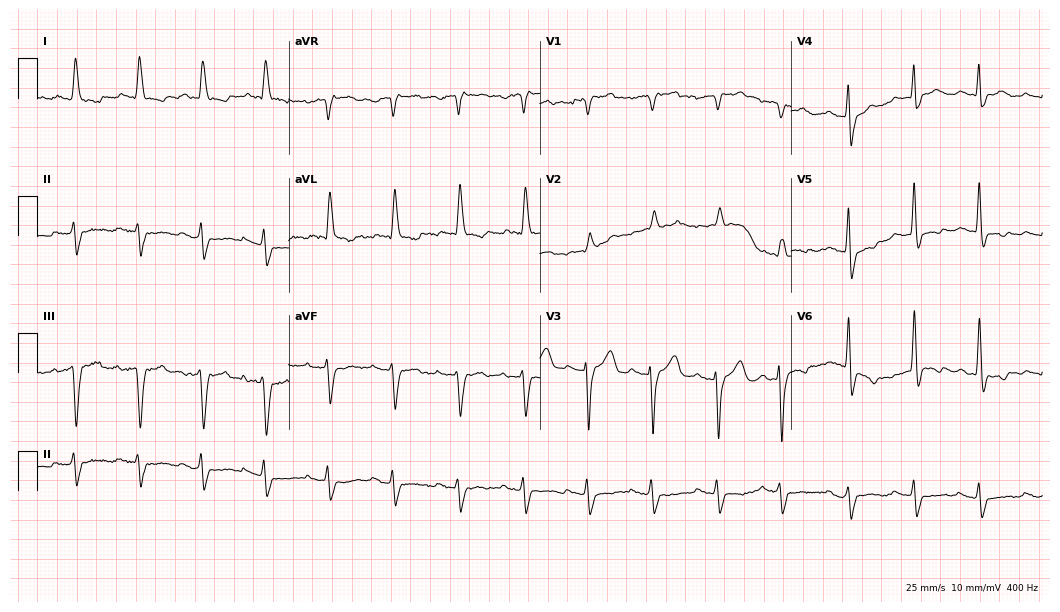
Electrocardiogram (10.2-second recording at 400 Hz), a man, 86 years old. Of the six screened findings (first-degree AV block, right bundle branch block, left bundle branch block, sinus bradycardia, atrial fibrillation, sinus tachycardia), none is recorded.